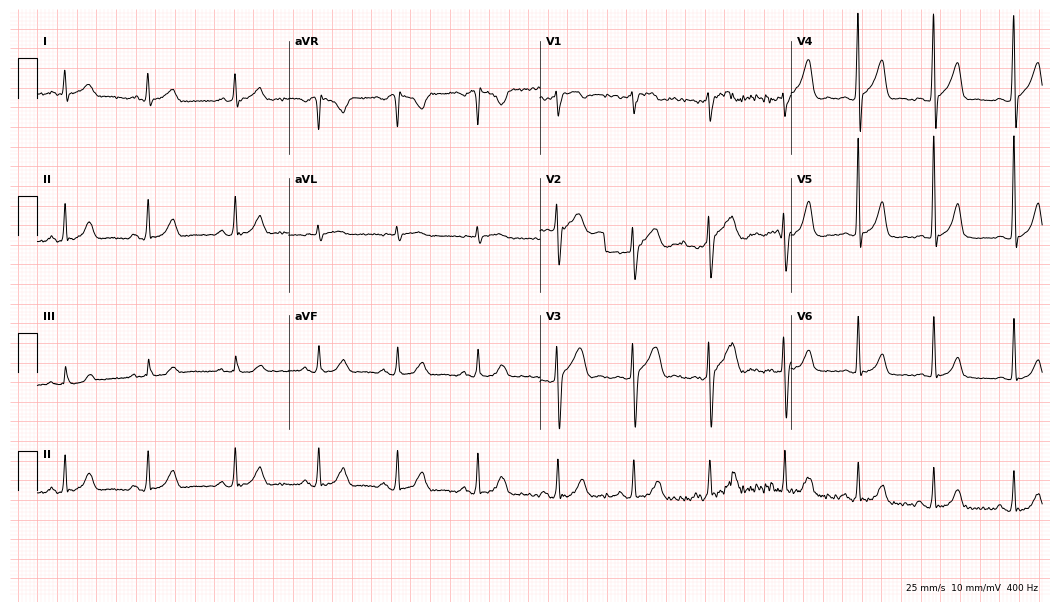
12-lead ECG from a male patient, 48 years old. No first-degree AV block, right bundle branch block, left bundle branch block, sinus bradycardia, atrial fibrillation or sinus tachycardia recorded for this tracing. Only these six findings were labelled.